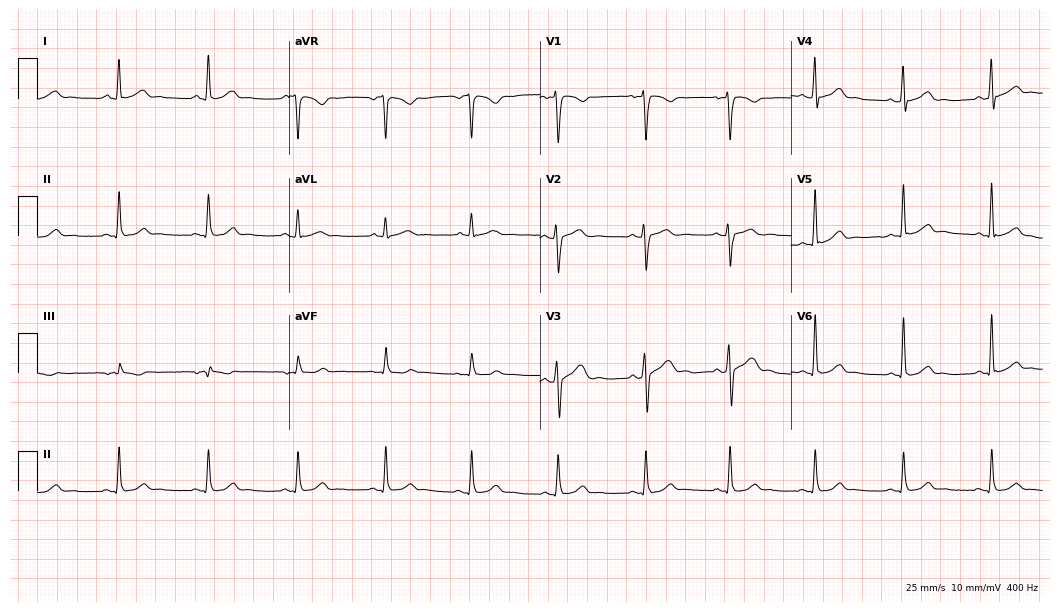
Standard 12-lead ECG recorded from a 31-year-old male. Read as a normal ECG.